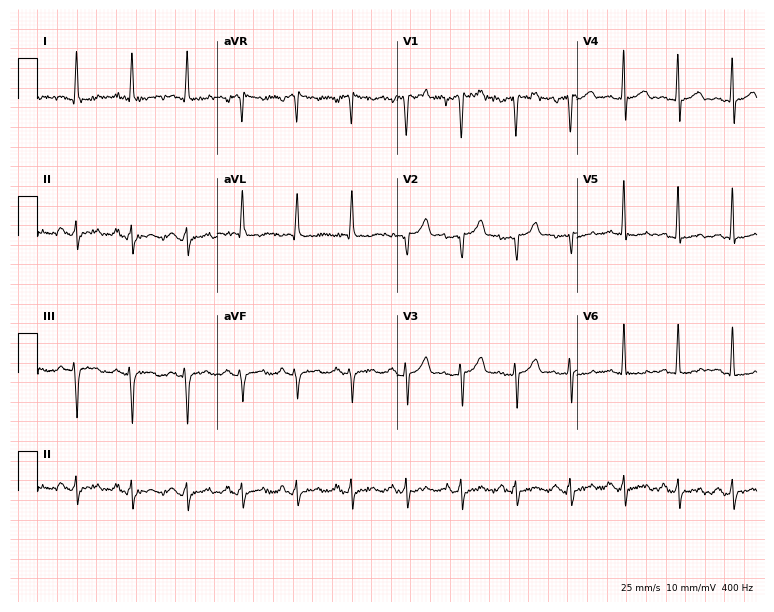
Electrocardiogram, a man, 49 years old. Of the six screened findings (first-degree AV block, right bundle branch block (RBBB), left bundle branch block (LBBB), sinus bradycardia, atrial fibrillation (AF), sinus tachycardia), none is recorded.